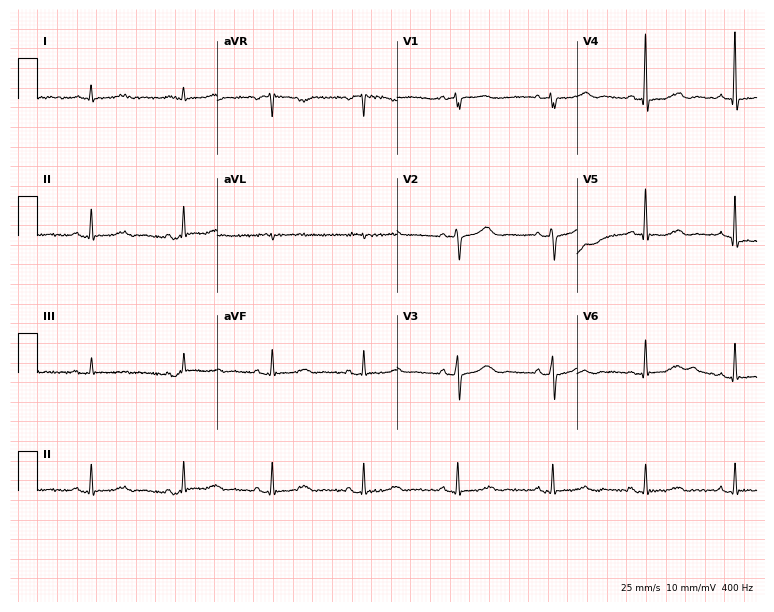
12-lead ECG from a 78-year-old female (7.3-second recording at 400 Hz). Recorded interpretation: within normal limits.